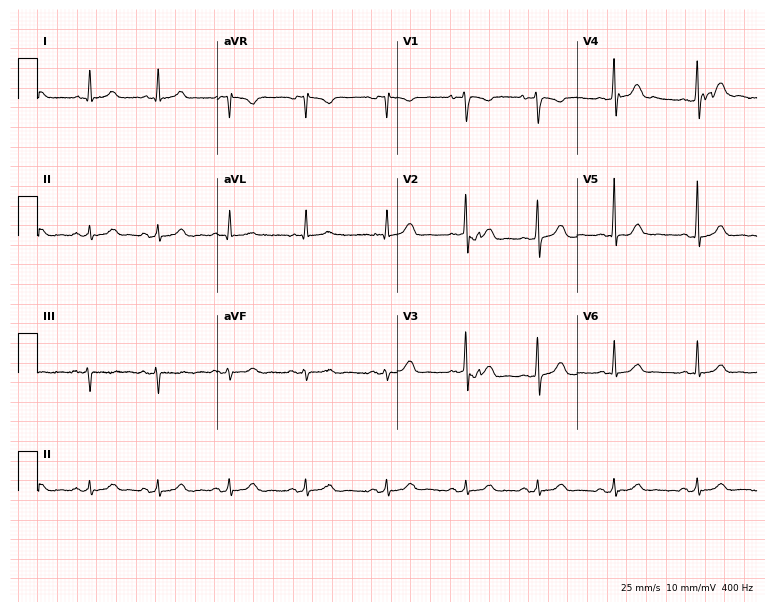
Electrocardiogram (7.3-second recording at 400 Hz), a 40-year-old woman. Overall reading on record: normal ECG.